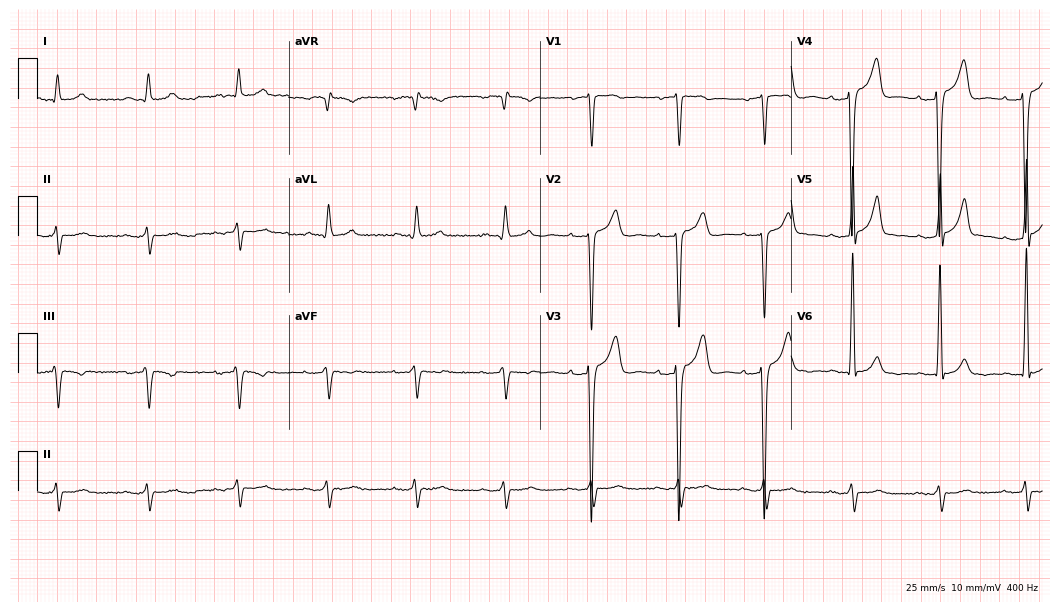
Resting 12-lead electrocardiogram. Patient: a 60-year-old male. None of these six findings is recorded: first-degree AV block, right bundle branch block (RBBB), left bundle branch block (LBBB), sinus bradycardia, atrial fibrillation (AF), sinus tachycardia.